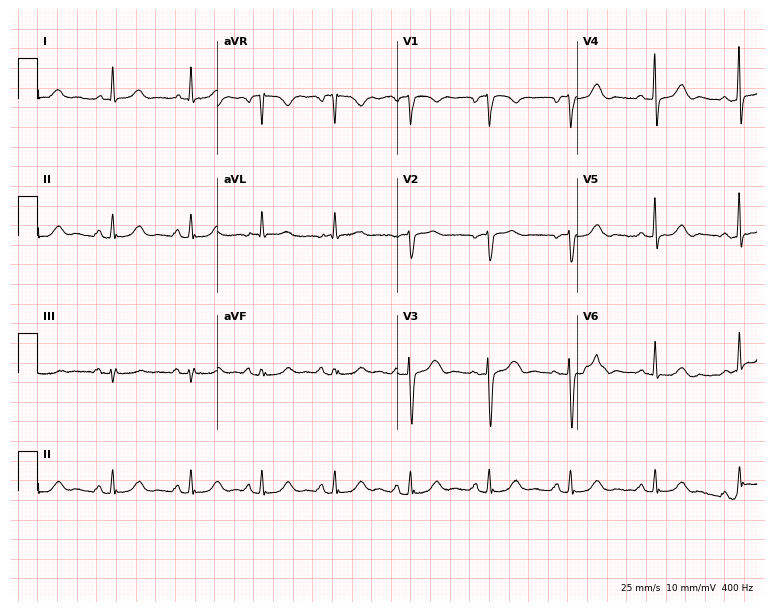
Standard 12-lead ECG recorded from a female, 60 years old. Read as a normal ECG.